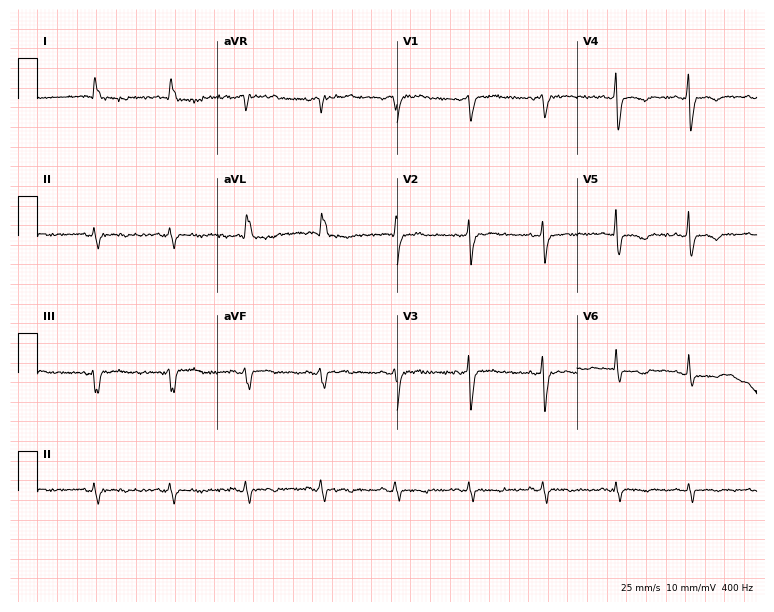
12-lead ECG from an 81-year-old female patient (7.3-second recording at 400 Hz). No first-degree AV block, right bundle branch block (RBBB), left bundle branch block (LBBB), sinus bradycardia, atrial fibrillation (AF) or sinus tachycardia recorded for this tracing. Findings outside these six are not listed.